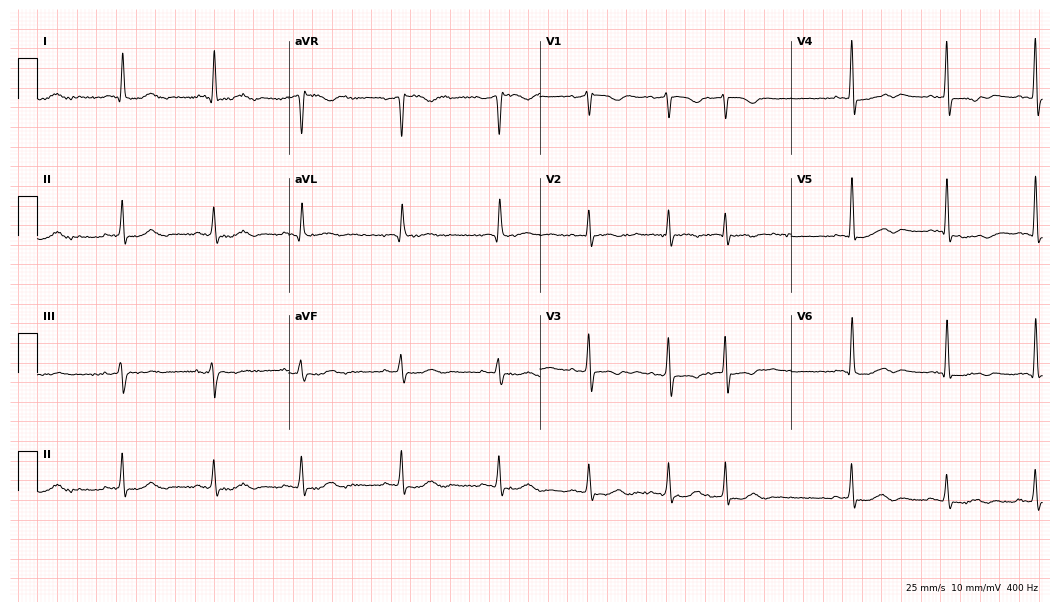
12-lead ECG (10.2-second recording at 400 Hz) from a woman, 70 years old. Screened for six findings — first-degree AV block, right bundle branch block, left bundle branch block, sinus bradycardia, atrial fibrillation, sinus tachycardia — none is recorded. Other findings, if any, are not listed.